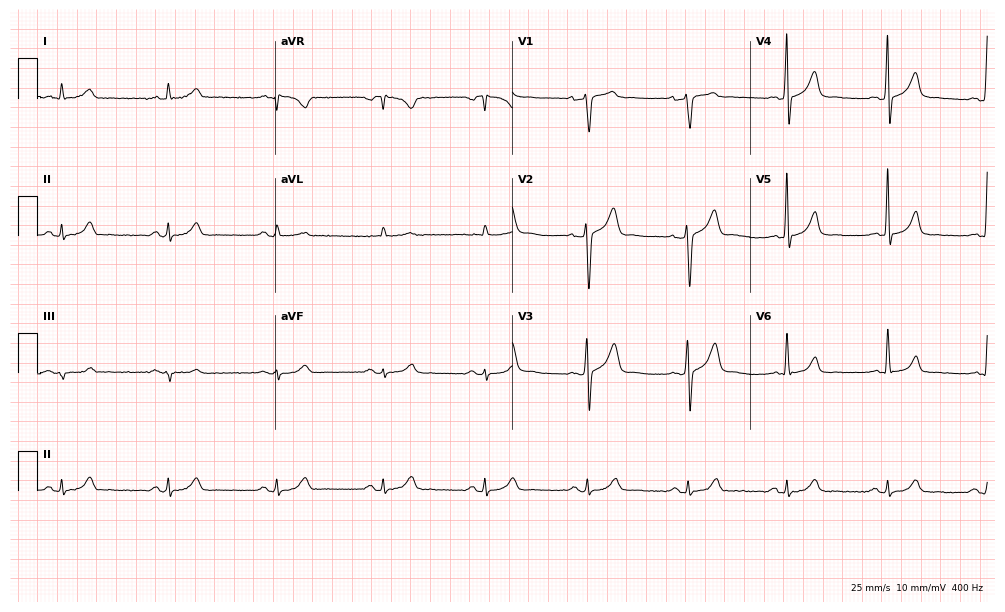
Resting 12-lead electrocardiogram (9.7-second recording at 400 Hz). Patient: a 64-year-old male. None of these six findings is recorded: first-degree AV block, right bundle branch block, left bundle branch block, sinus bradycardia, atrial fibrillation, sinus tachycardia. Other findings, if any, are not listed.